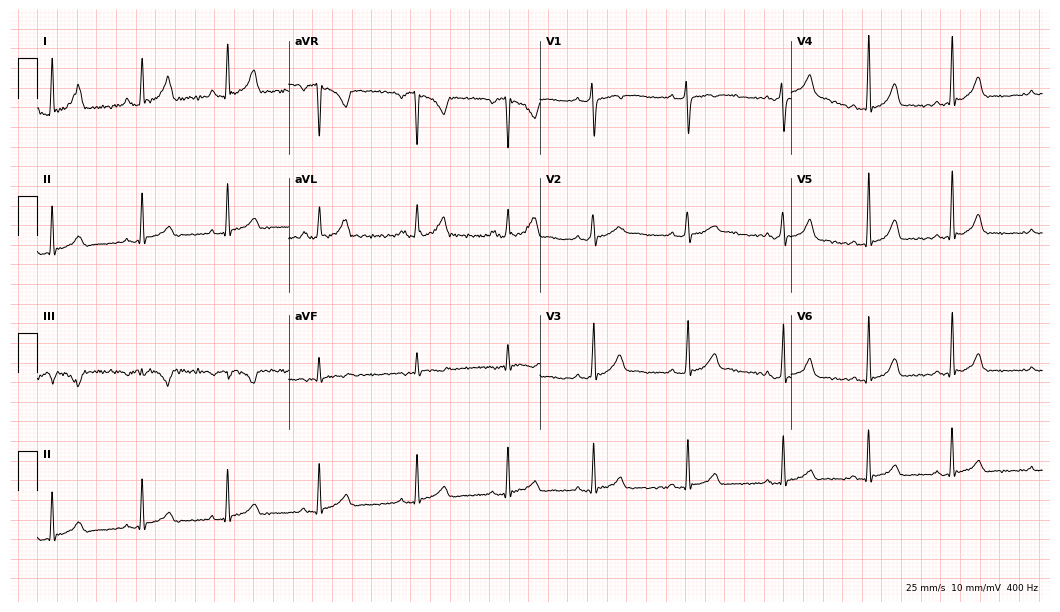
12-lead ECG from a 27-year-old woman (10.2-second recording at 400 Hz). Recorded interpretation: within normal limits.